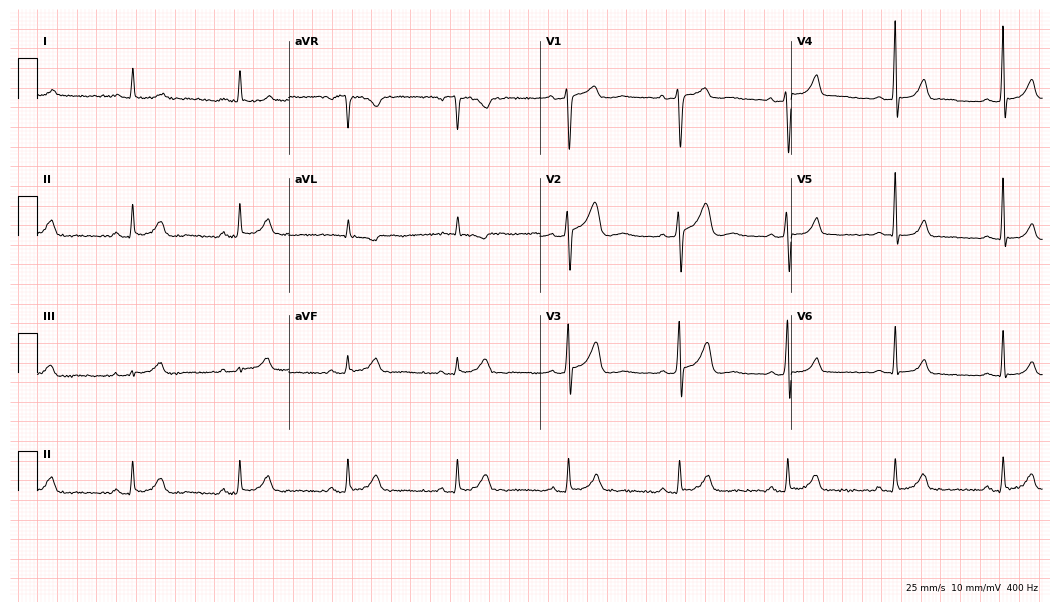
Standard 12-lead ECG recorded from a male patient, 41 years old (10.2-second recording at 400 Hz). None of these six findings is recorded: first-degree AV block, right bundle branch block, left bundle branch block, sinus bradycardia, atrial fibrillation, sinus tachycardia.